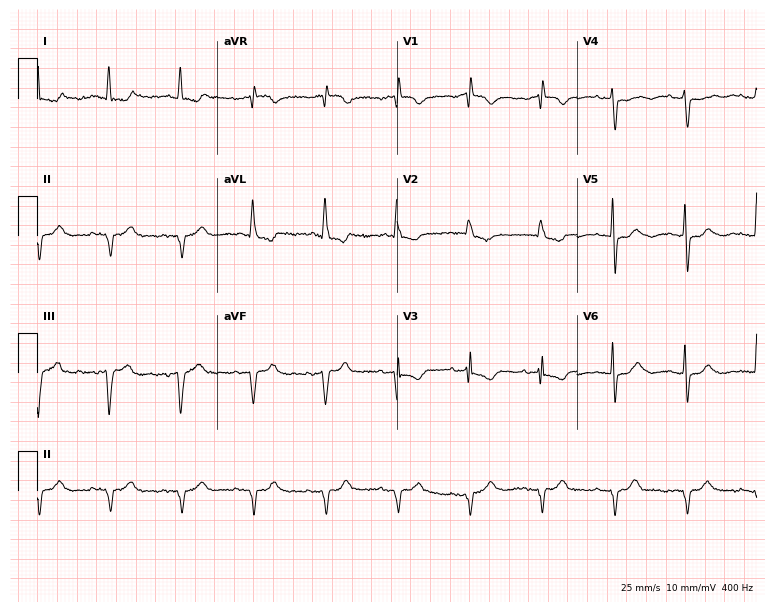
12-lead ECG (7.3-second recording at 400 Hz) from an 83-year-old woman. Screened for six findings — first-degree AV block, right bundle branch block, left bundle branch block, sinus bradycardia, atrial fibrillation, sinus tachycardia — none is recorded.